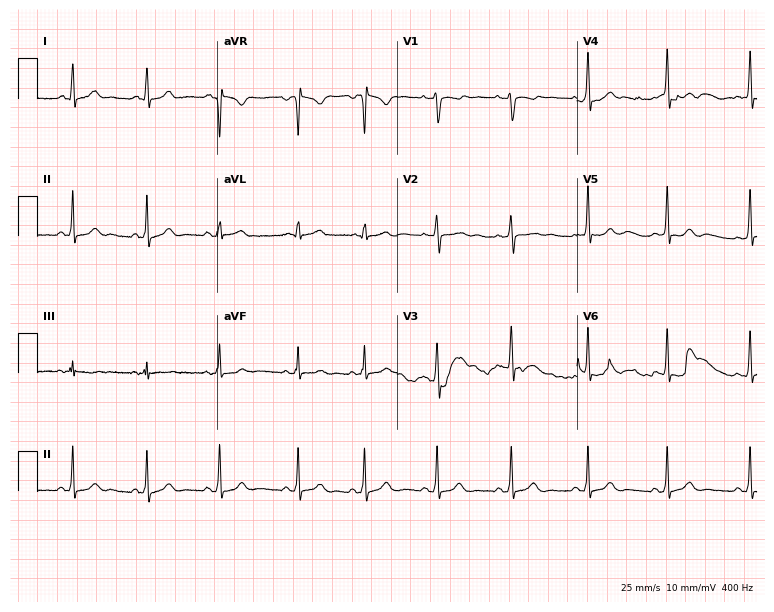
ECG (7.3-second recording at 400 Hz) — an 18-year-old female patient. Labelled as a normal ECG.